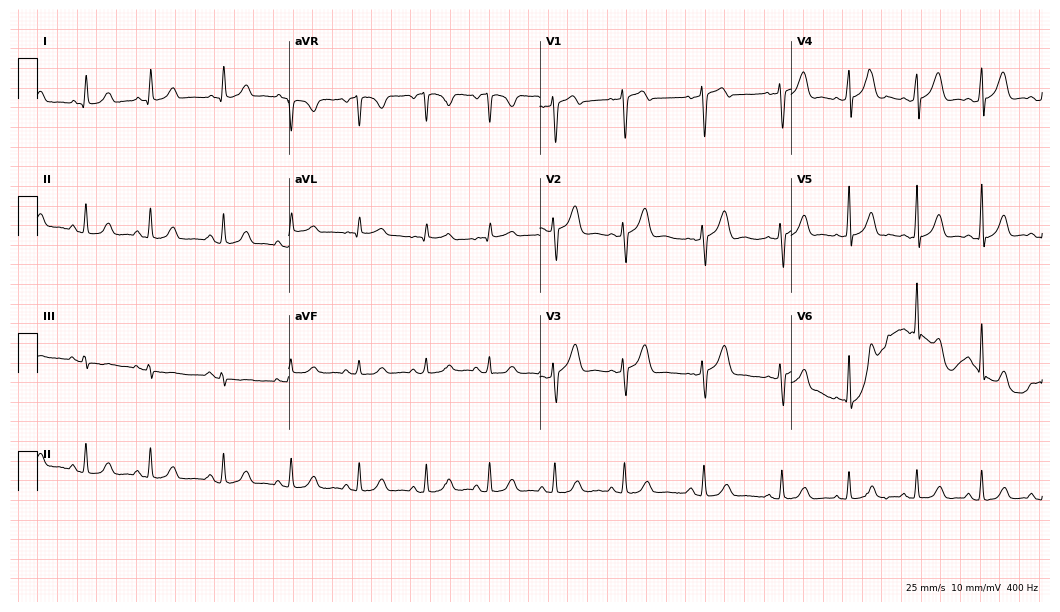
Electrocardiogram (10.2-second recording at 400 Hz), a woman, 50 years old. Of the six screened findings (first-degree AV block, right bundle branch block, left bundle branch block, sinus bradycardia, atrial fibrillation, sinus tachycardia), none is recorded. Other findings, if any, are not listed.